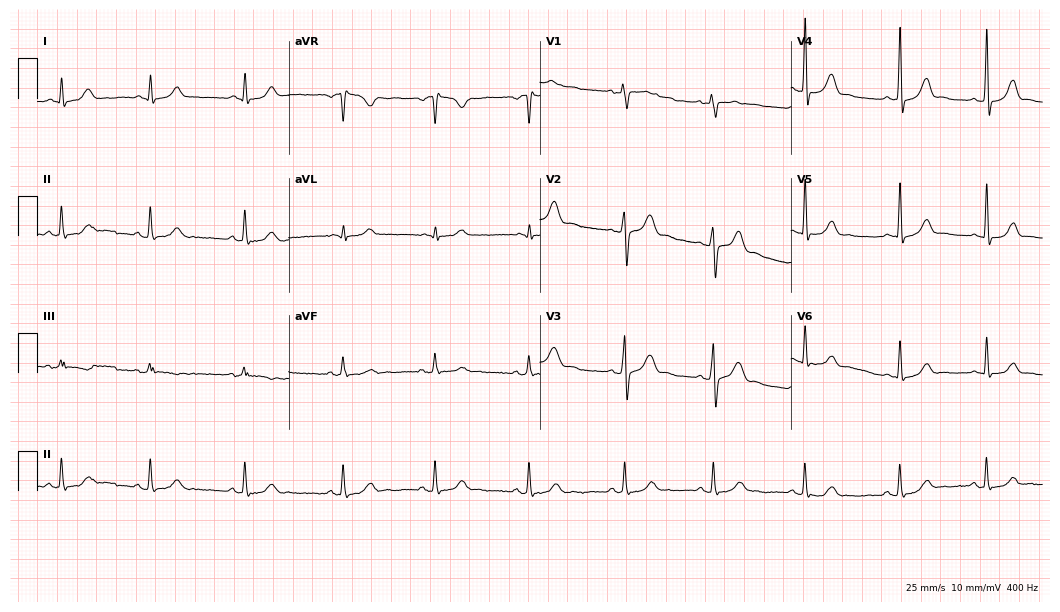
Resting 12-lead electrocardiogram (10.2-second recording at 400 Hz). Patient: a male, 32 years old. None of these six findings is recorded: first-degree AV block, right bundle branch block, left bundle branch block, sinus bradycardia, atrial fibrillation, sinus tachycardia. Findings outside these six are not listed.